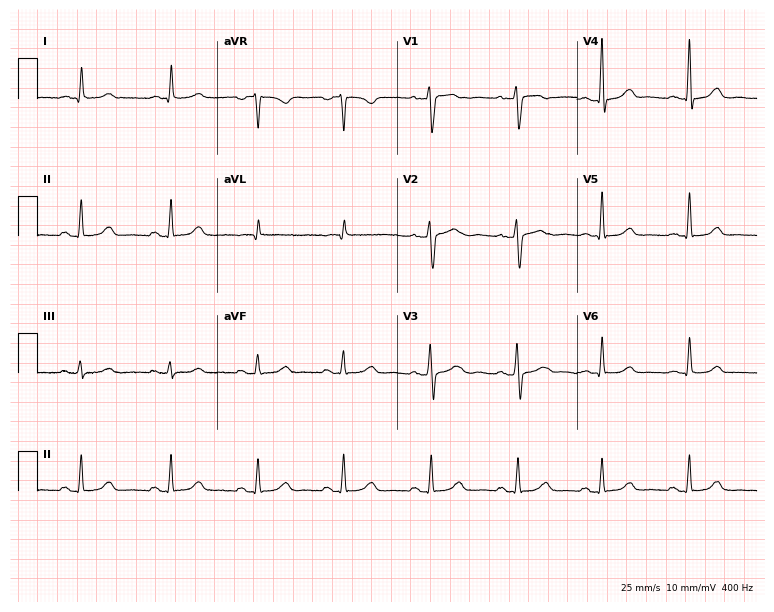
12-lead ECG from a female patient, 55 years old. Recorded interpretation: within normal limits.